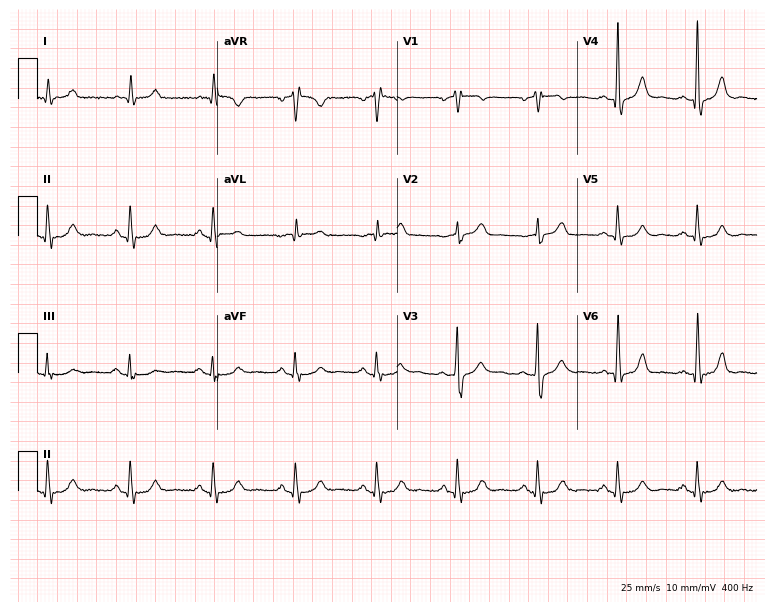
Electrocardiogram, a male patient, 70 years old. Of the six screened findings (first-degree AV block, right bundle branch block, left bundle branch block, sinus bradycardia, atrial fibrillation, sinus tachycardia), none is recorded.